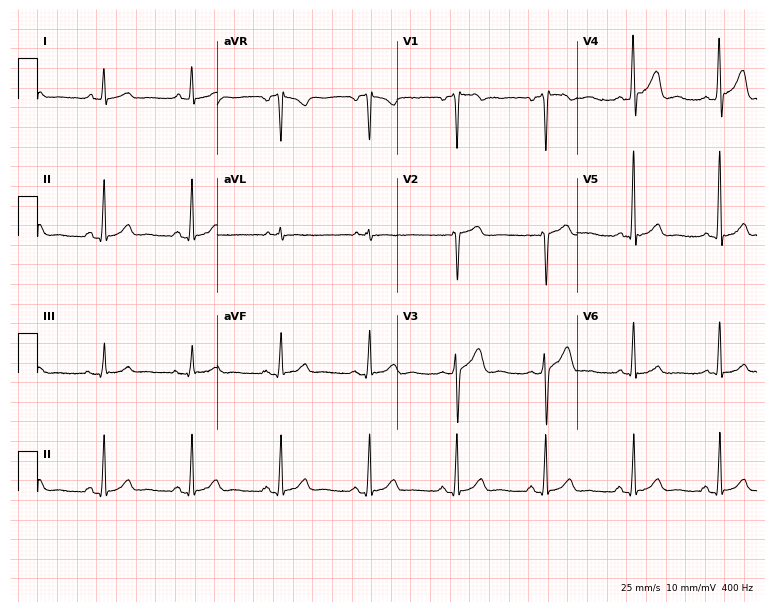
ECG — a male, 42 years old. Screened for six findings — first-degree AV block, right bundle branch block (RBBB), left bundle branch block (LBBB), sinus bradycardia, atrial fibrillation (AF), sinus tachycardia — none is recorded.